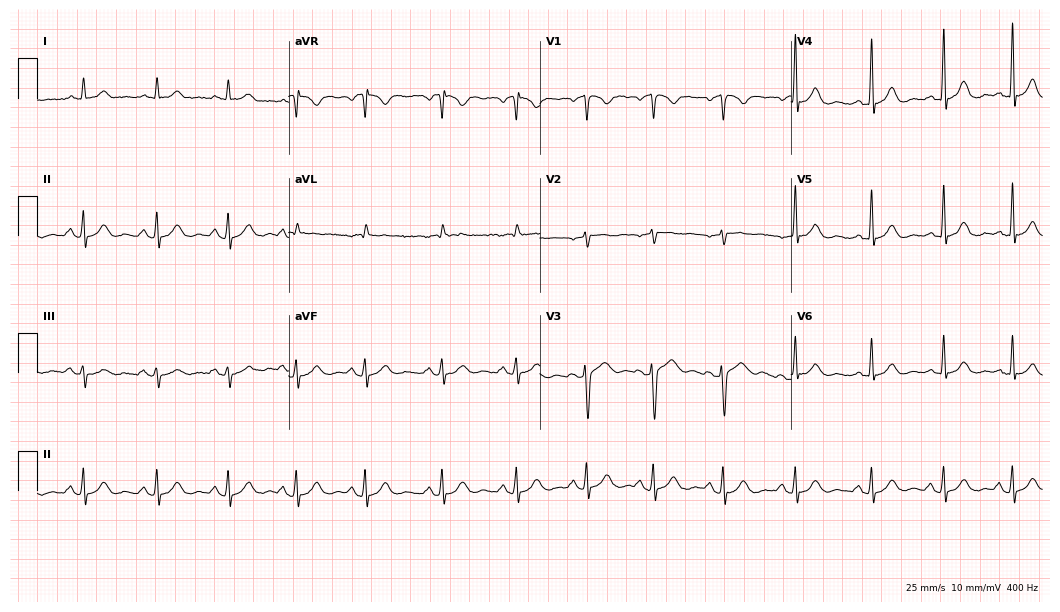
12-lead ECG from a 56-year-old female. No first-degree AV block, right bundle branch block, left bundle branch block, sinus bradycardia, atrial fibrillation or sinus tachycardia recorded for this tracing.